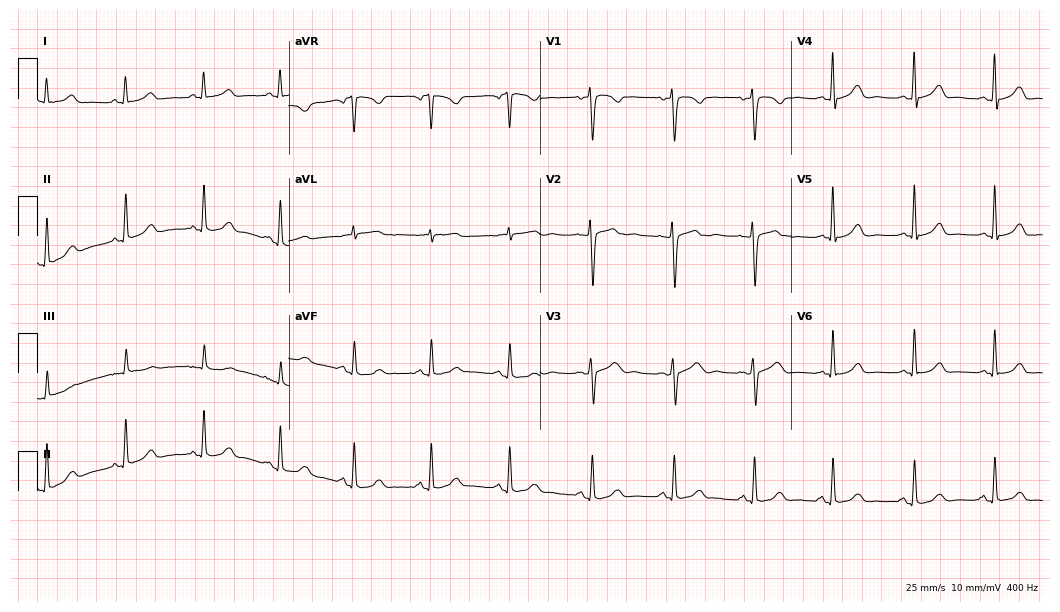
Standard 12-lead ECG recorded from a 54-year-old female patient (10.2-second recording at 400 Hz). Read as a normal ECG.